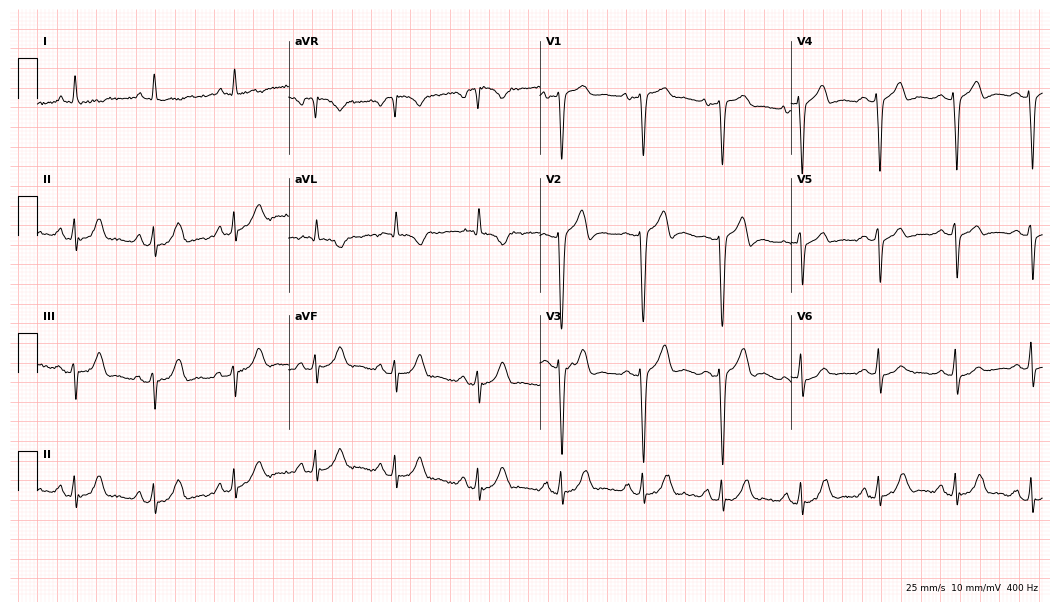
Resting 12-lead electrocardiogram. Patient: a male, 52 years old. None of these six findings is recorded: first-degree AV block, right bundle branch block (RBBB), left bundle branch block (LBBB), sinus bradycardia, atrial fibrillation (AF), sinus tachycardia.